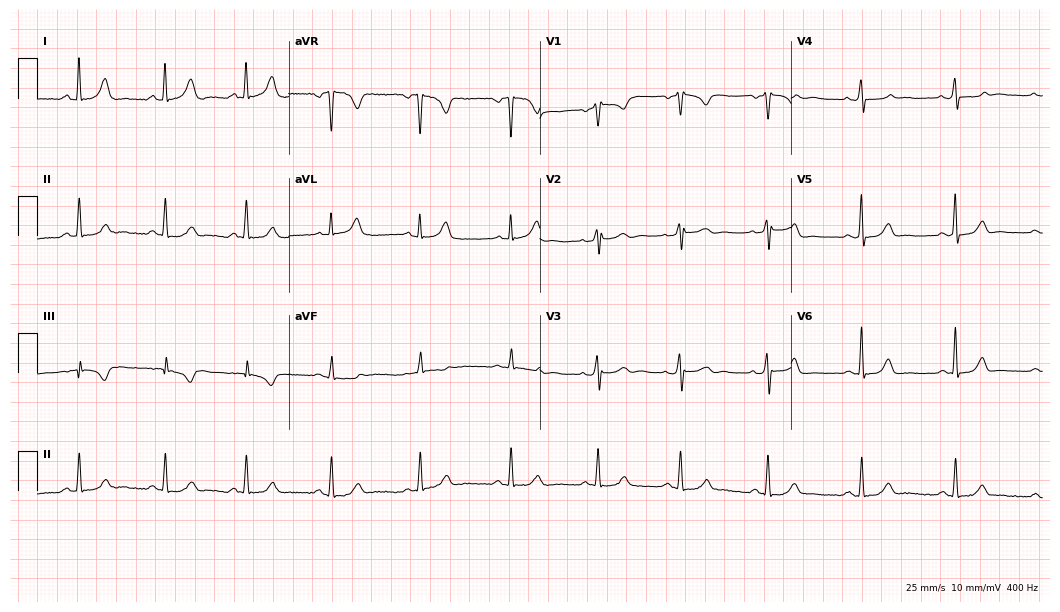
Standard 12-lead ECG recorded from a woman, 47 years old. Read as a normal ECG.